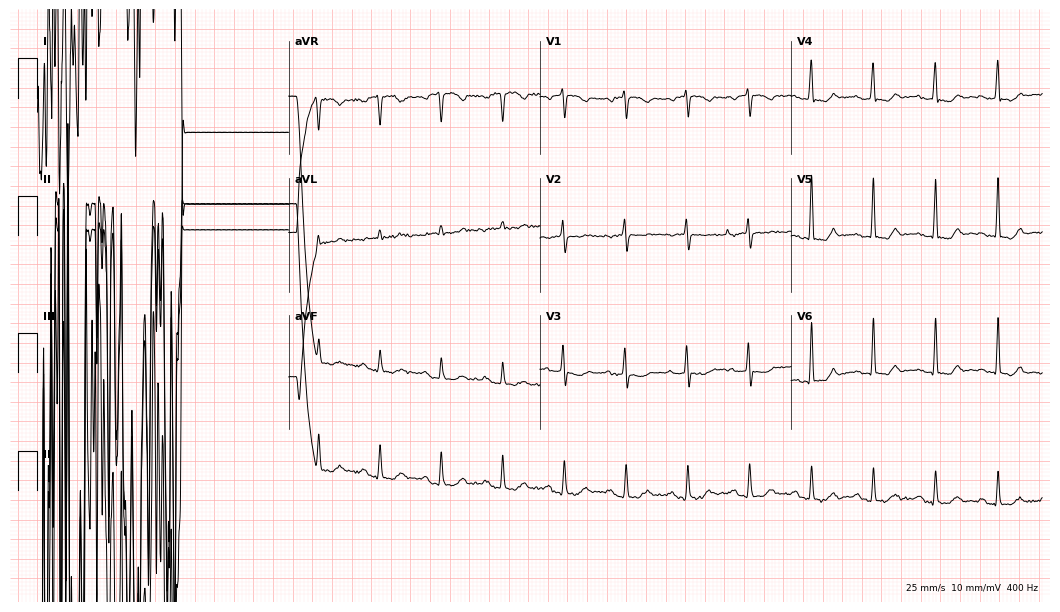
ECG (10.2-second recording at 400 Hz) — an 80-year-old female patient. Screened for six findings — first-degree AV block, right bundle branch block (RBBB), left bundle branch block (LBBB), sinus bradycardia, atrial fibrillation (AF), sinus tachycardia — none is recorded.